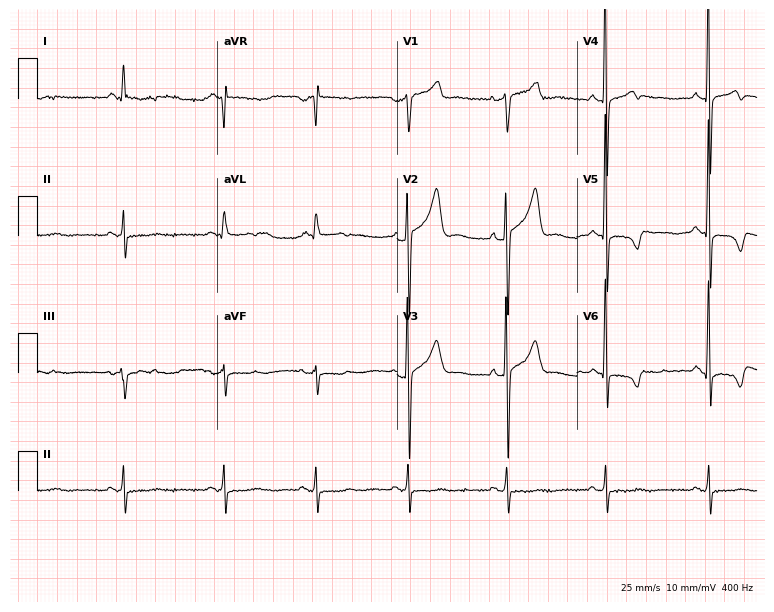
12-lead ECG from a 61-year-old male patient. Screened for six findings — first-degree AV block, right bundle branch block, left bundle branch block, sinus bradycardia, atrial fibrillation, sinus tachycardia — none is recorded.